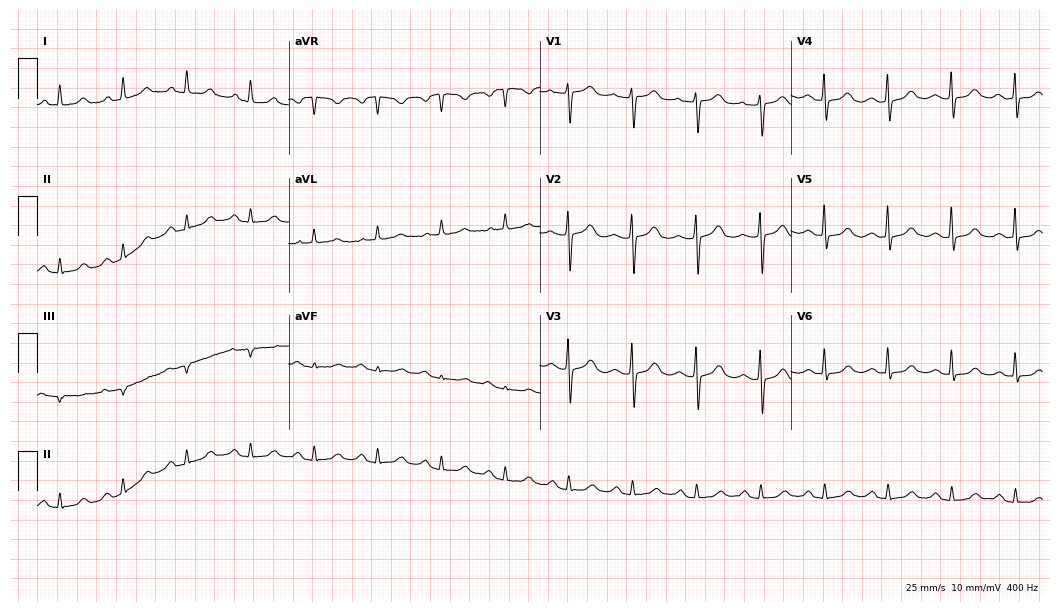
Standard 12-lead ECG recorded from a female patient, 85 years old (10.2-second recording at 400 Hz). Read as a normal ECG.